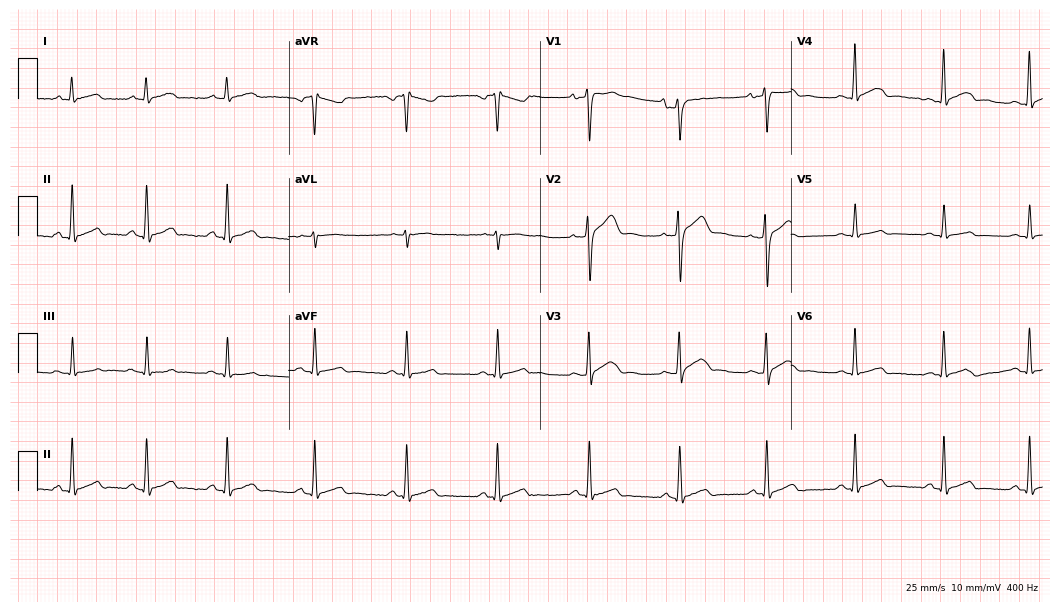
Electrocardiogram, a 31-year-old man. Overall reading on record: normal ECG.